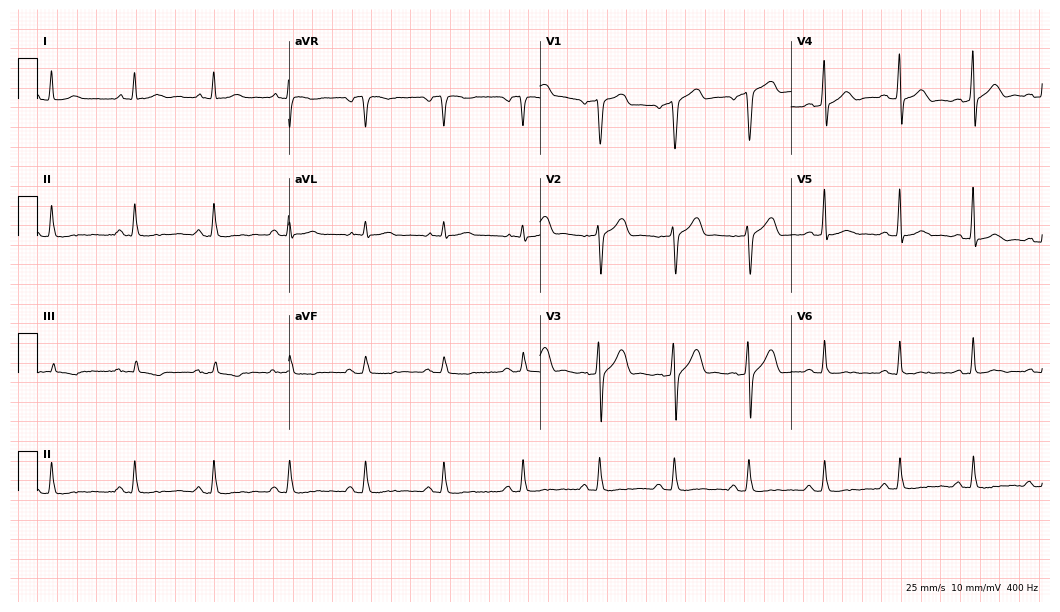
Resting 12-lead electrocardiogram. Patient: a male, 68 years old. Read as a normal ECG.